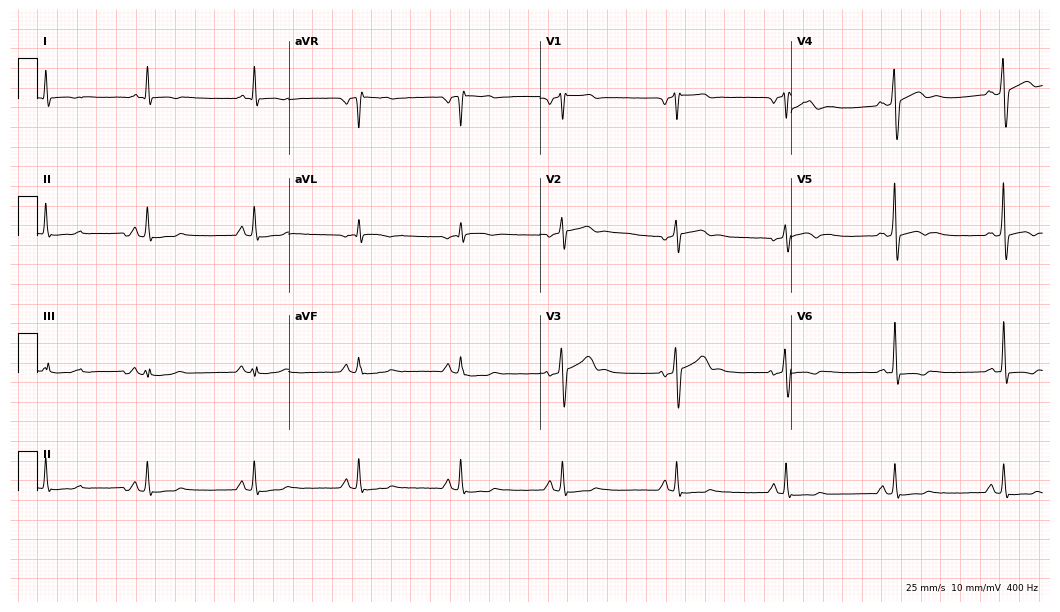
ECG (10.2-second recording at 400 Hz) — a 65-year-old man. Screened for six findings — first-degree AV block, right bundle branch block (RBBB), left bundle branch block (LBBB), sinus bradycardia, atrial fibrillation (AF), sinus tachycardia — none is recorded.